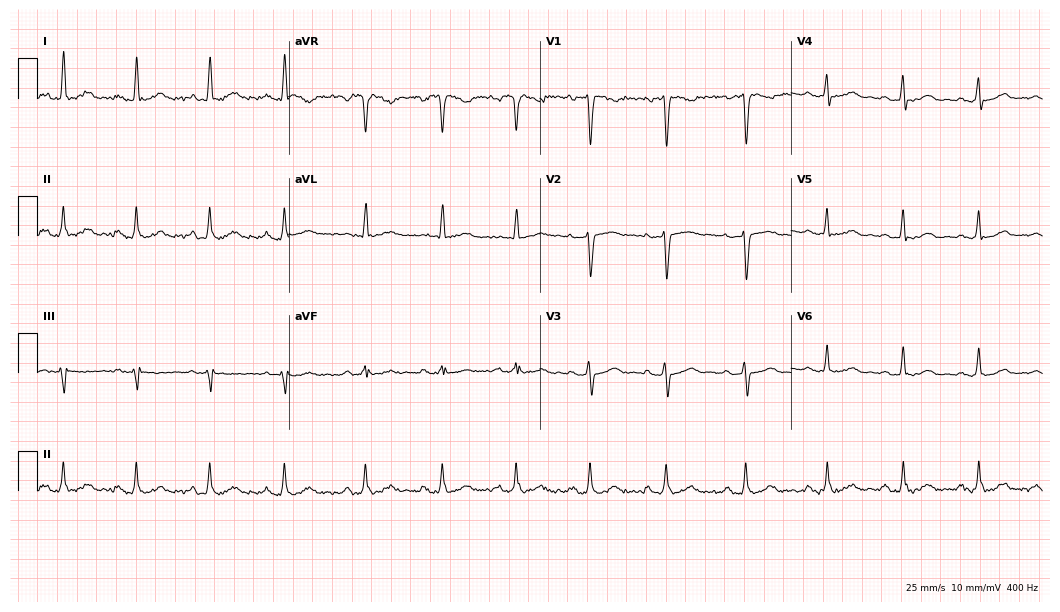
Standard 12-lead ECG recorded from a 47-year-old female. None of these six findings is recorded: first-degree AV block, right bundle branch block, left bundle branch block, sinus bradycardia, atrial fibrillation, sinus tachycardia. Only these six findings were labelled.